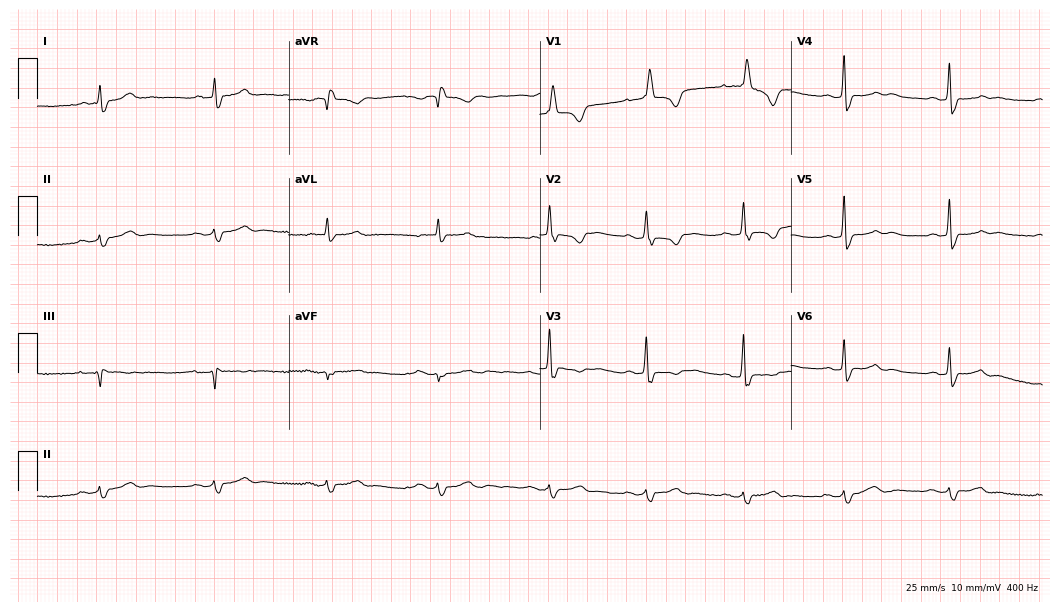
Electrocardiogram, an 85-year-old female patient. Of the six screened findings (first-degree AV block, right bundle branch block (RBBB), left bundle branch block (LBBB), sinus bradycardia, atrial fibrillation (AF), sinus tachycardia), none is recorded.